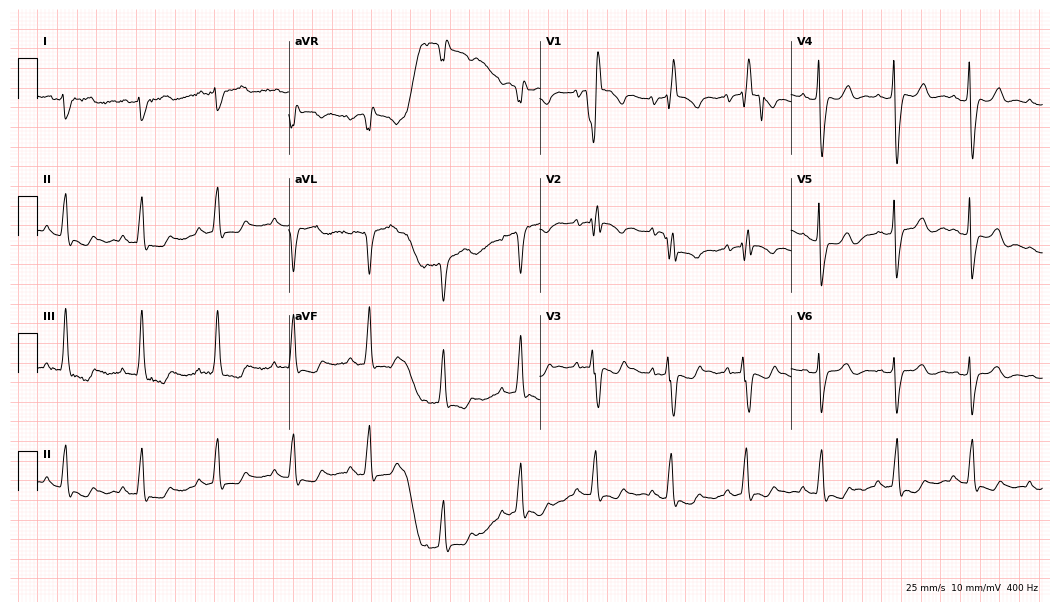
12-lead ECG from a 79-year-old woman (10.2-second recording at 400 Hz). Shows right bundle branch block.